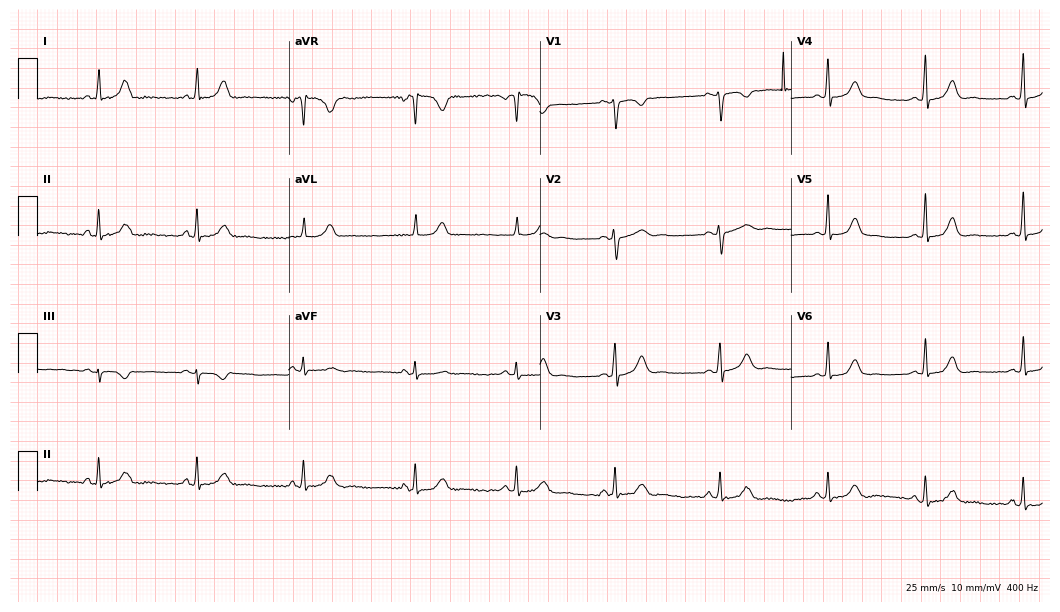
12-lead ECG from a 25-year-old female. Recorded interpretation: within normal limits.